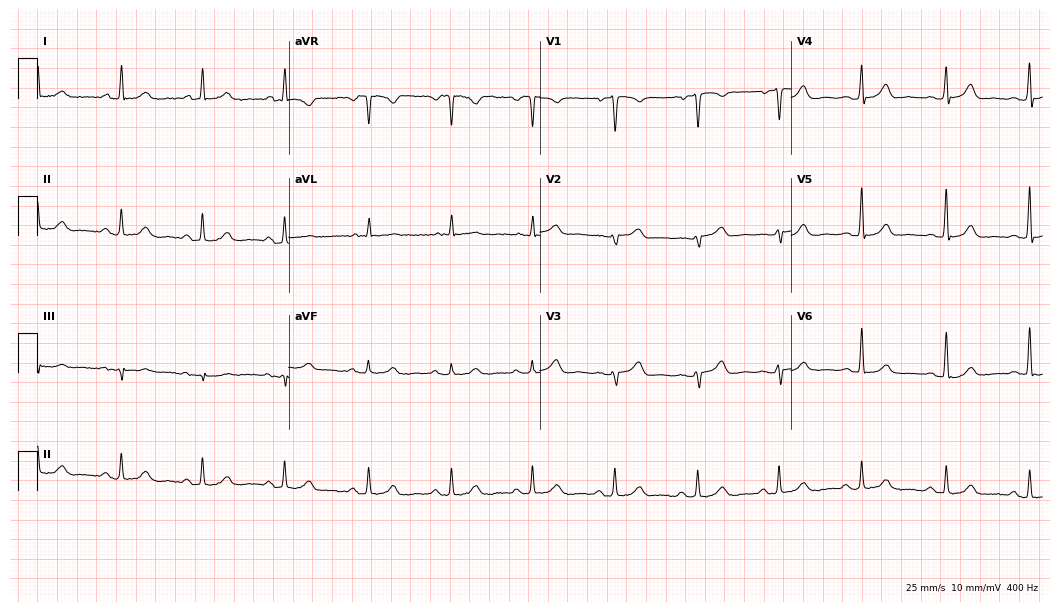
12-lead ECG from a female, 60 years old (10.2-second recording at 400 Hz). Recorded interpretation: within normal limits.